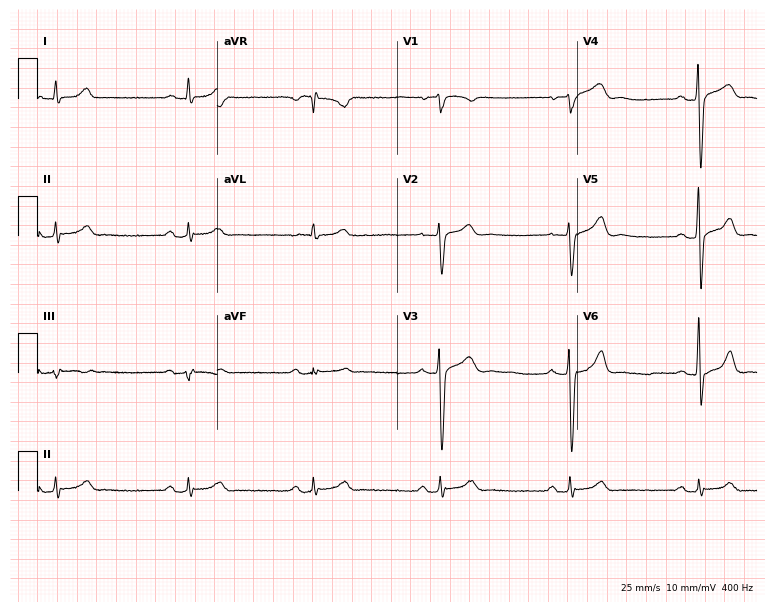
Standard 12-lead ECG recorded from a 52-year-old male. The tracing shows sinus bradycardia (a sinus rate of 50 beats per minute or less).